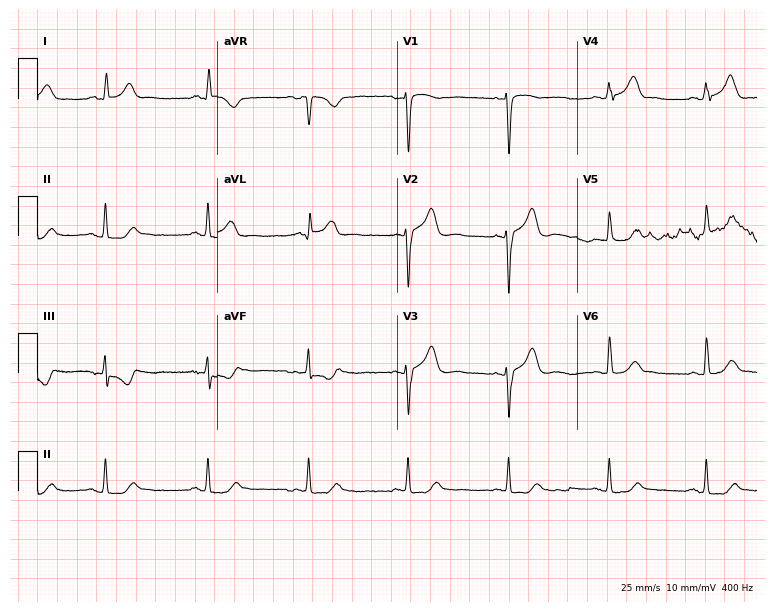
Standard 12-lead ECG recorded from a 41-year-old female (7.3-second recording at 400 Hz). None of these six findings is recorded: first-degree AV block, right bundle branch block (RBBB), left bundle branch block (LBBB), sinus bradycardia, atrial fibrillation (AF), sinus tachycardia. Other findings, if any, are not listed.